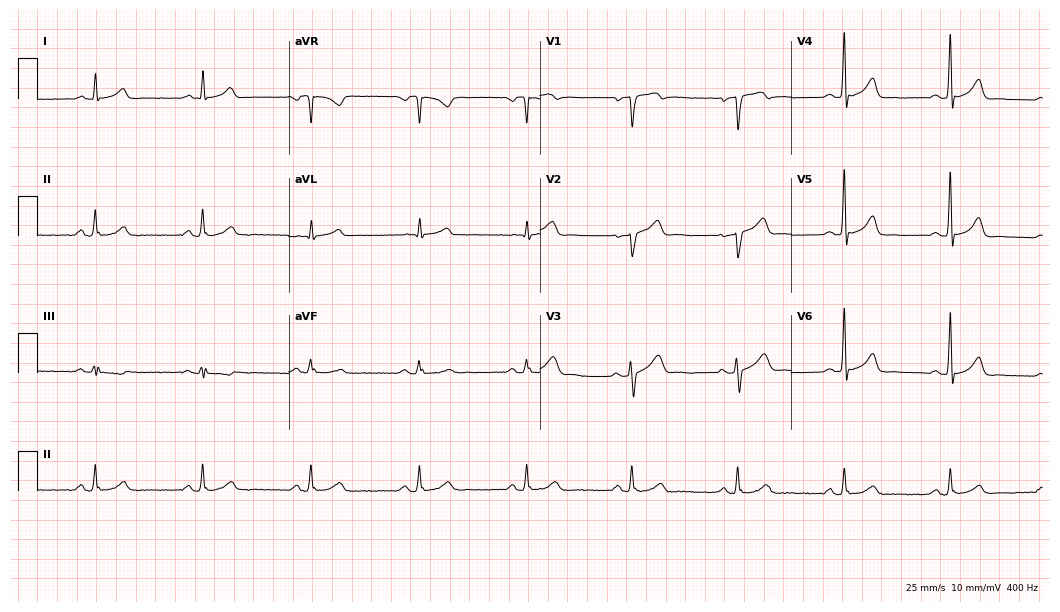
12-lead ECG from a 47-year-old male (10.2-second recording at 400 Hz). Recorded interpretation: within normal limits.